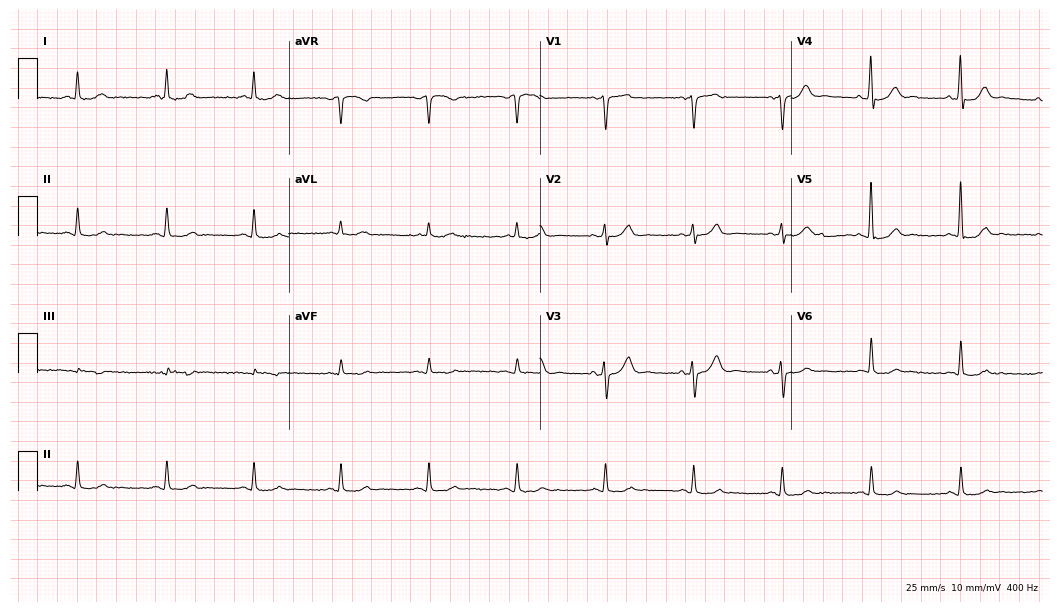
Electrocardiogram, a 63-year-old male. Of the six screened findings (first-degree AV block, right bundle branch block, left bundle branch block, sinus bradycardia, atrial fibrillation, sinus tachycardia), none is recorded. Only these six findings were labelled.